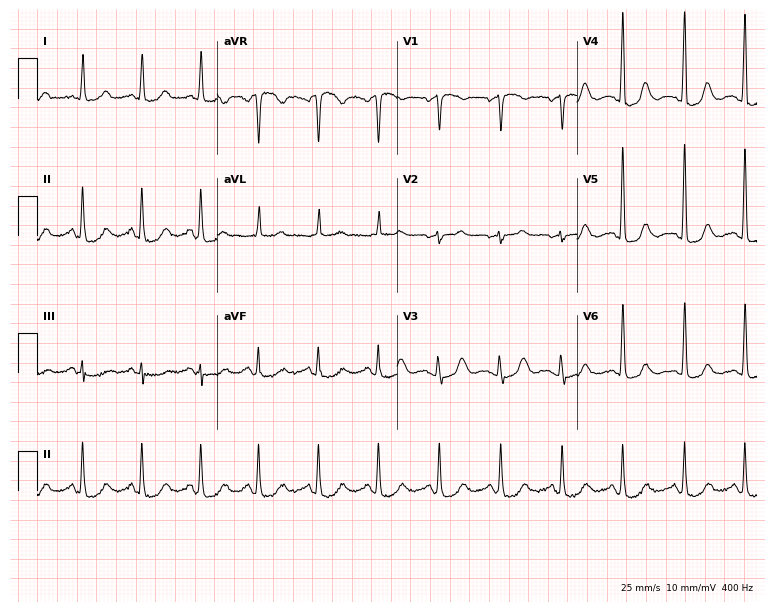
Standard 12-lead ECG recorded from an 80-year-old woman (7.3-second recording at 400 Hz). None of these six findings is recorded: first-degree AV block, right bundle branch block, left bundle branch block, sinus bradycardia, atrial fibrillation, sinus tachycardia. Findings outside these six are not listed.